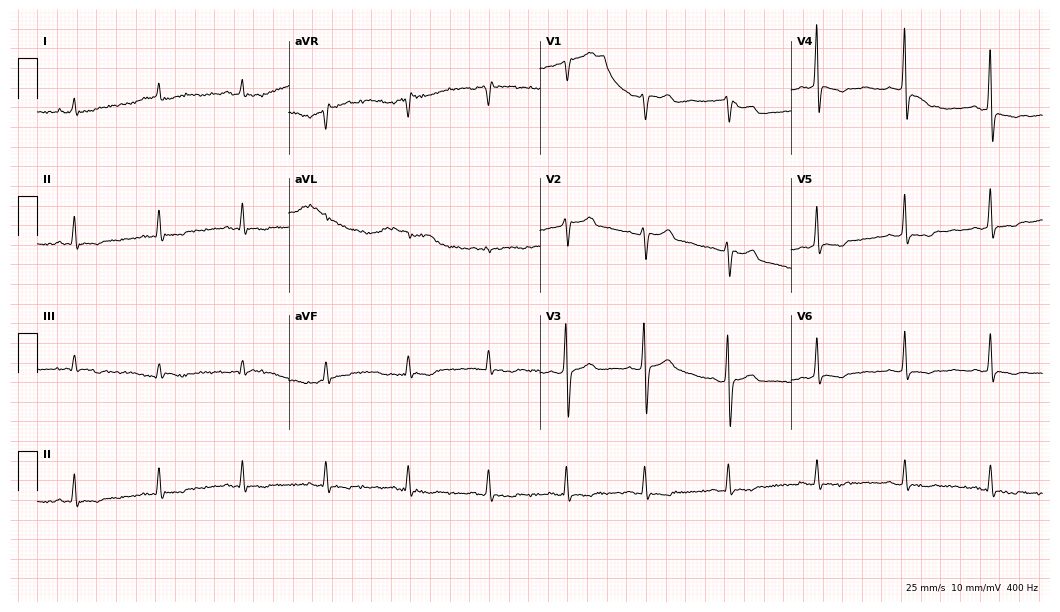
Resting 12-lead electrocardiogram (10.2-second recording at 400 Hz). Patient: a 31-year-old male. None of these six findings is recorded: first-degree AV block, right bundle branch block, left bundle branch block, sinus bradycardia, atrial fibrillation, sinus tachycardia.